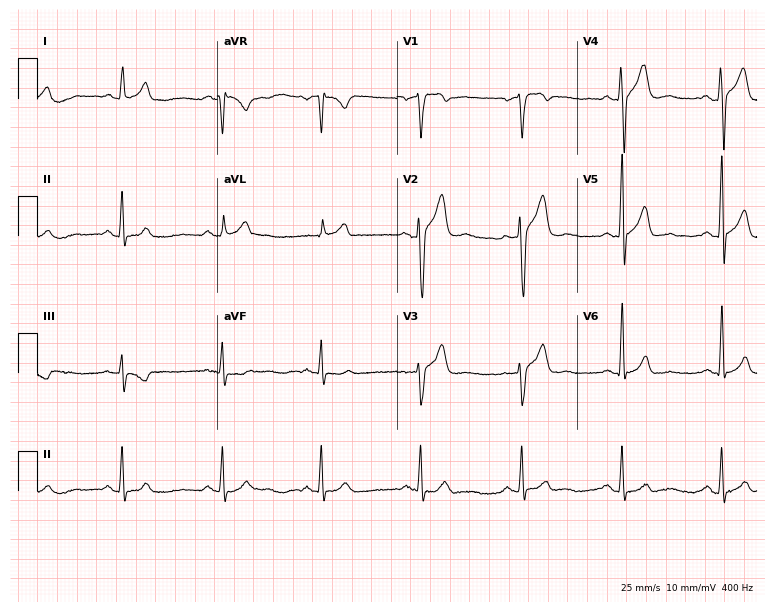
Electrocardiogram, a 49-year-old man. Overall reading on record: normal ECG.